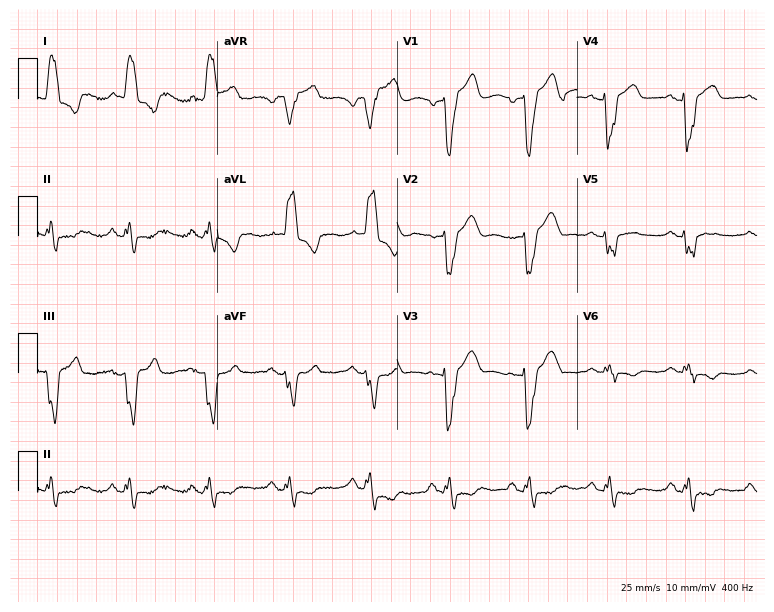
Electrocardiogram (7.3-second recording at 400 Hz), a female, 70 years old. Of the six screened findings (first-degree AV block, right bundle branch block, left bundle branch block, sinus bradycardia, atrial fibrillation, sinus tachycardia), none is recorded. Other findings, if any, are not listed.